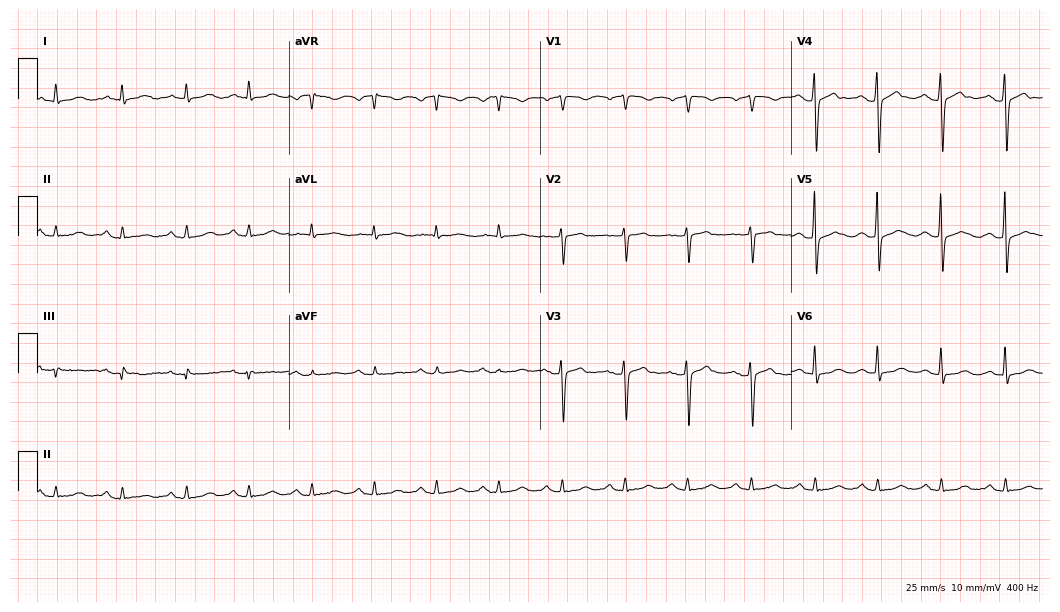
12-lead ECG (10.2-second recording at 400 Hz) from a female, 48 years old. Labelled as a normal ECG.